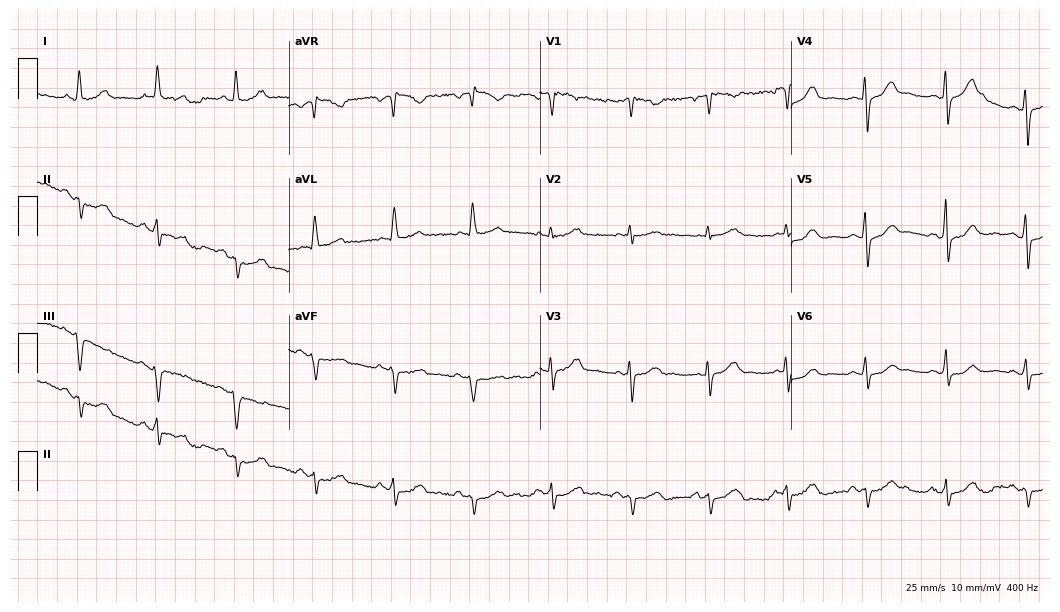
Electrocardiogram, a woman, 61 years old. Of the six screened findings (first-degree AV block, right bundle branch block, left bundle branch block, sinus bradycardia, atrial fibrillation, sinus tachycardia), none is recorded.